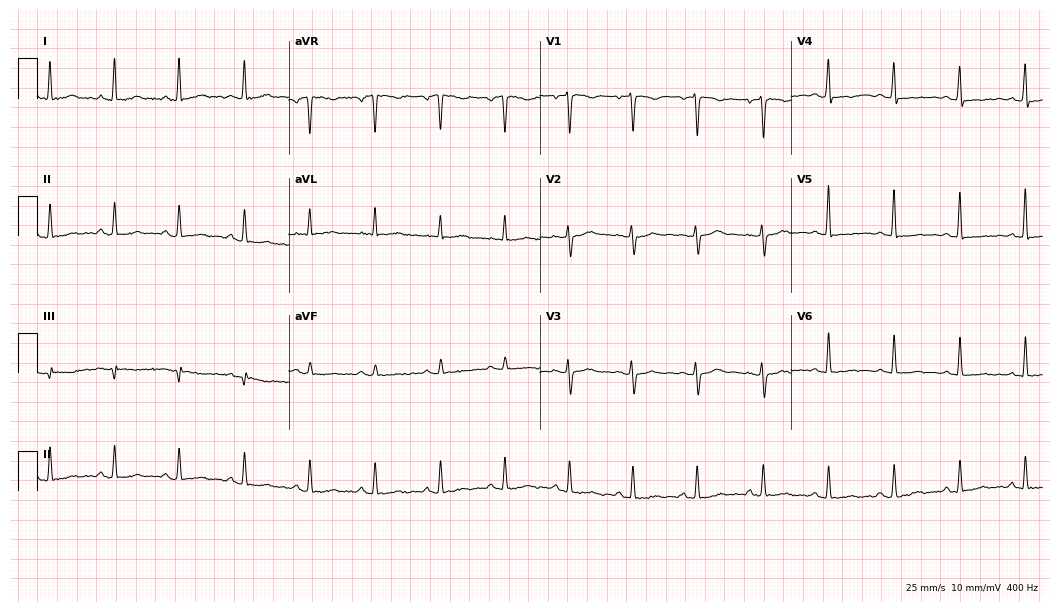
Resting 12-lead electrocardiogram (10.2-second recording at 400 Hz). Patient: a woman, 43 years old. None of these six findings is recorded: first-degree AV block, right bundle branch block (RBBB), left bundle branch block (LBBB), sinus bradycardia, atrial fibrillation (AF), sinus tachycardia. Findings outside these six are not listed.